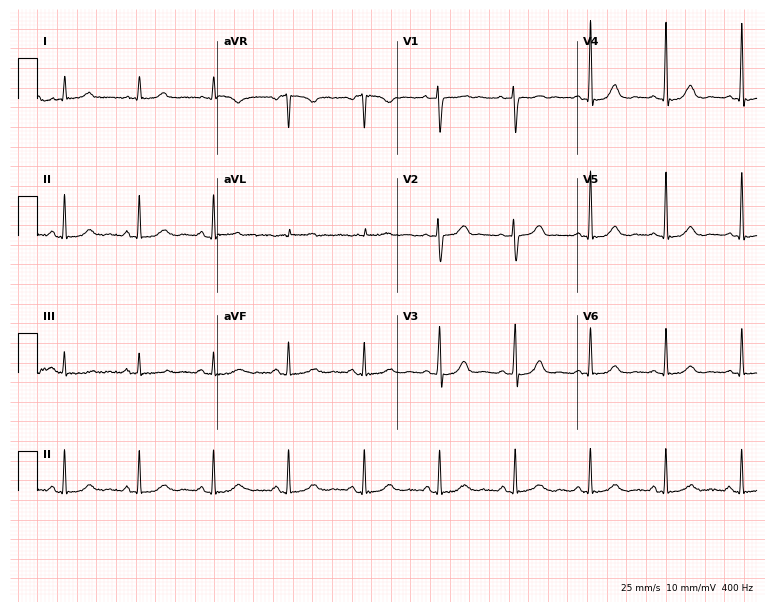
12-lead ECG (7.3-second recording at 400 Hz) from a 58-year-old female. Labelled as a normal ECG.